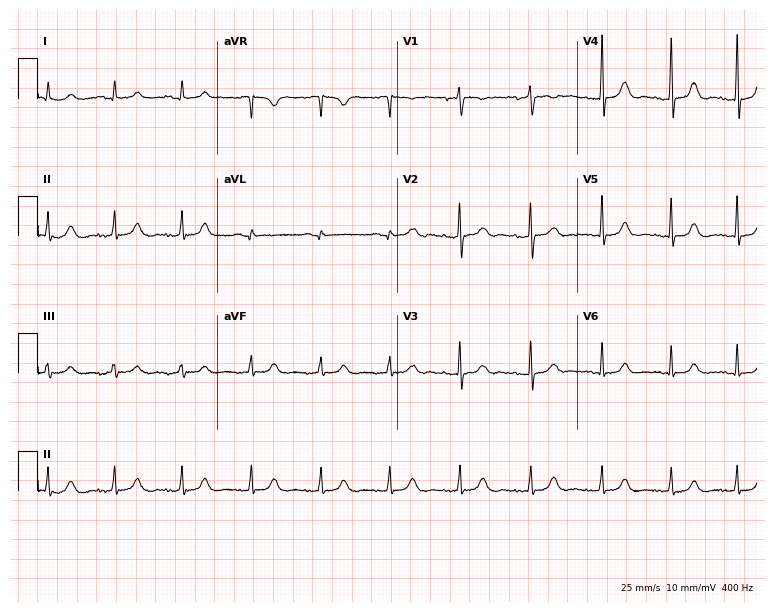
Standard 12-lead ECG recorded from a female, 18 years old. None of these six findings is recorded: first-degree AV block, right bundle branch block (RBBB), left bundle branch block (LBBB), sinus bradycardia, atrial fibrillation (AF), sinus tachycardia.